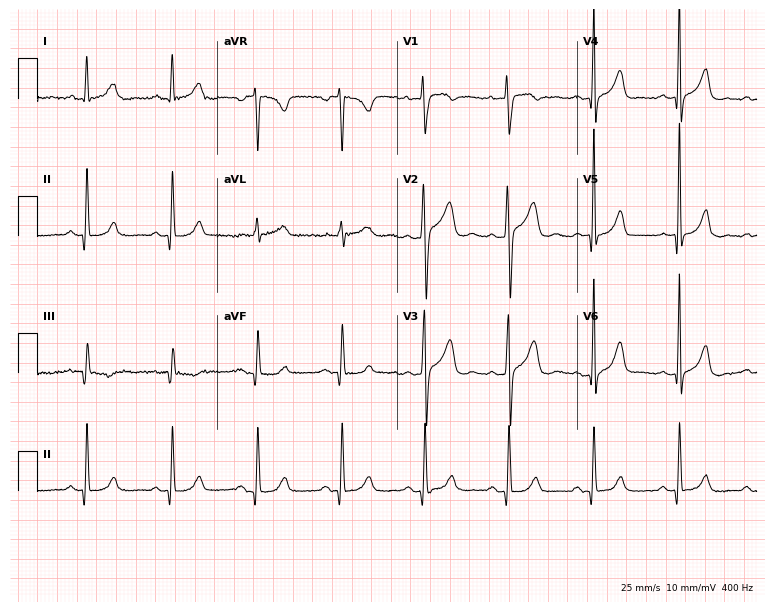
Resting 12-lead electrocardiogram (7.3-second recording at 400 Hz). Patient: a male, 34 years old. Read as a normal ECG.